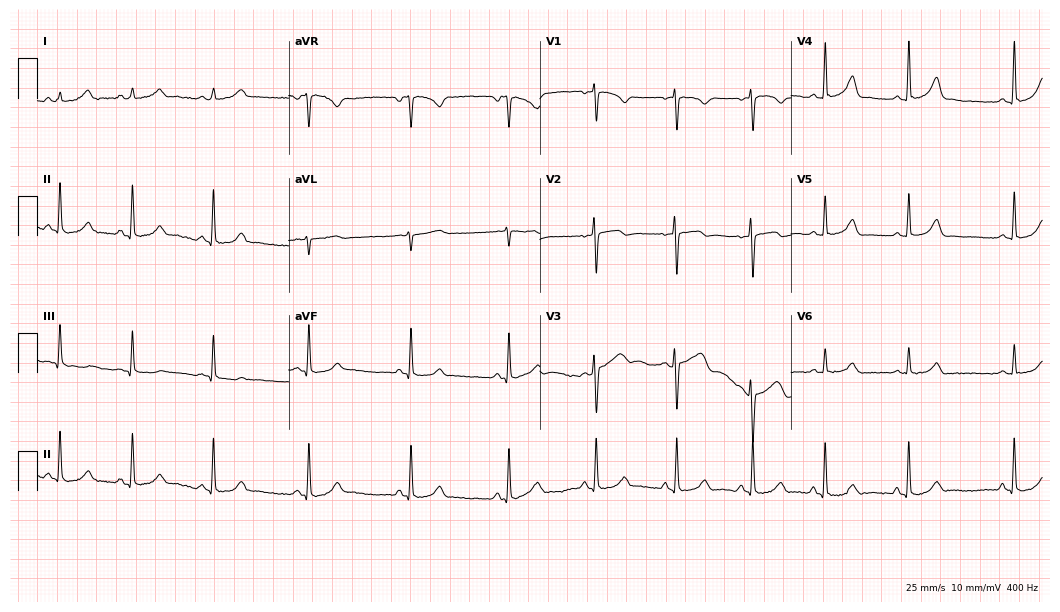
Electrocardiogram, a 20-year-old woman. Overall reading on record: normal ECG.